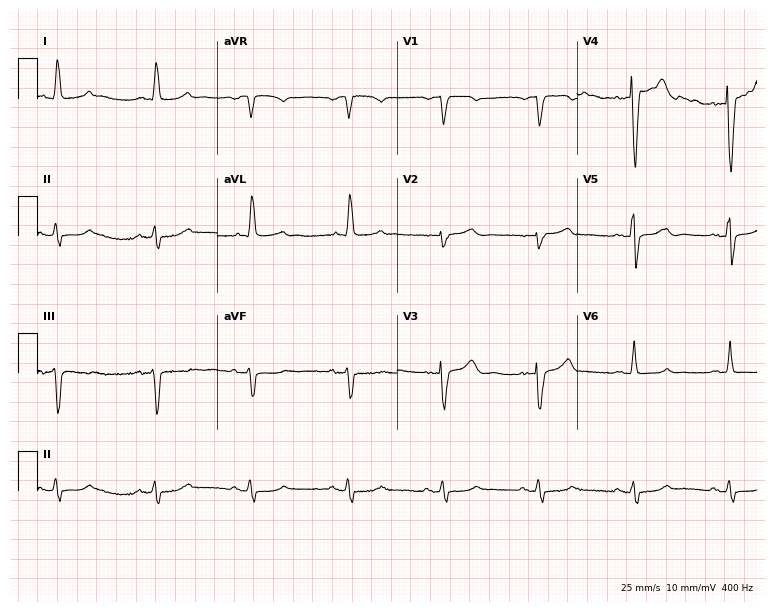
Electrocardiogram, a female patient, 52 years old. Of the six screened findings (first-degree AV block, right bundle branch block (RBBB), left bundle branch block (LBBB), sinus bradycardia, atrial fibrillation (AF), sinus tachycardia), none is recorded. Other findings, if any, are not listed.